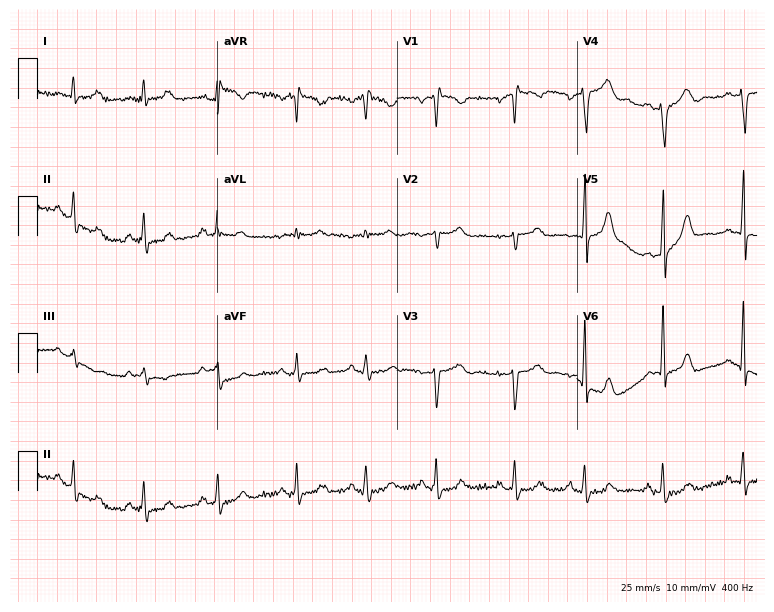
ECG — a woman, 34 years old. Labelled as a normal ECG.